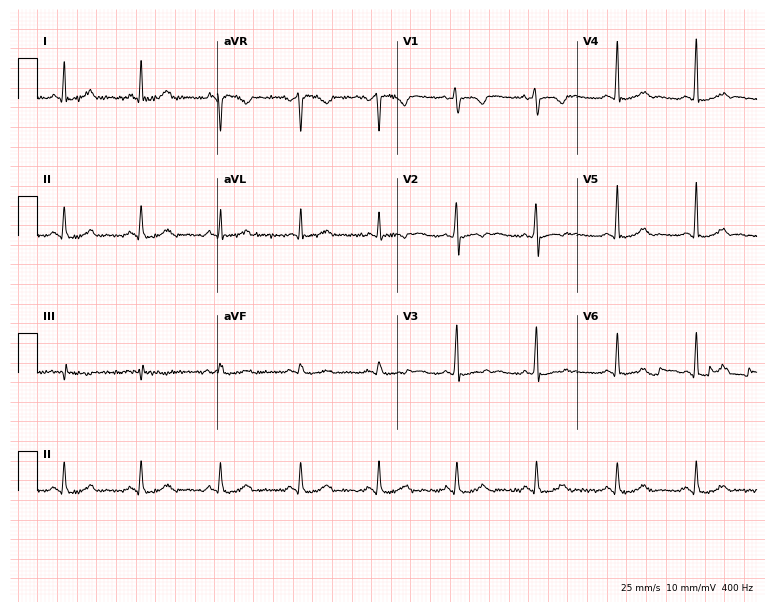
Electrocardiogram, a 43-year-old female. Overall reading on record: normal ECG.